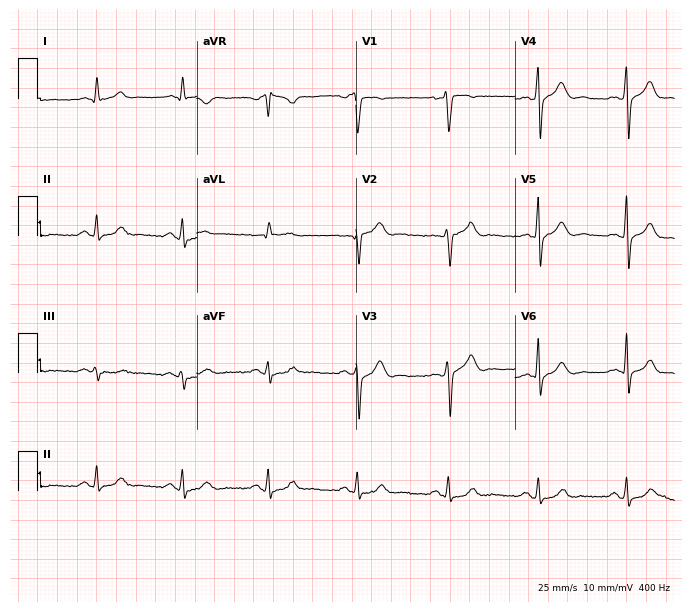
Electrocardiogram (6.5-second recording at 400 Hz), a male patient, 46 years old. Overall reading on record: normal ECG.